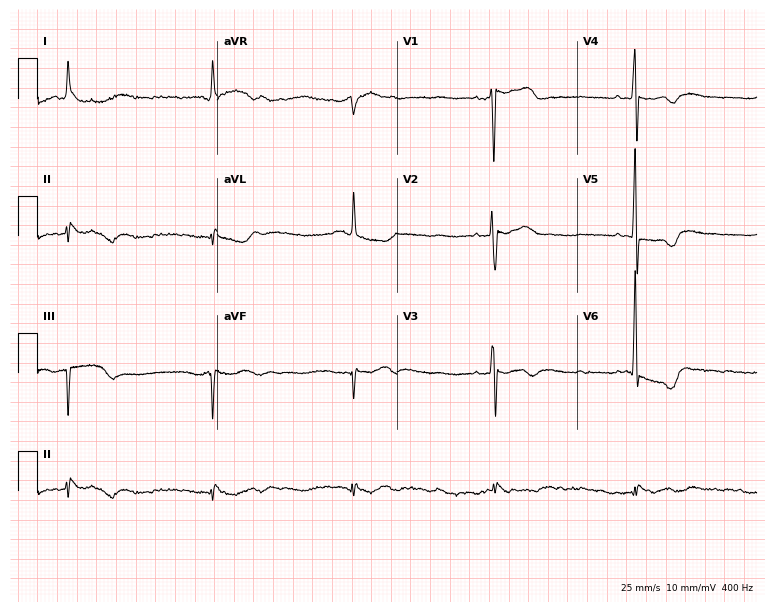
Resting 12-lead electrocardiogram. Patient: a 75-year-old male. None of these six findings is recorded: first-degree AV block, right bundle branch block, left bundle branch block, sinus bradycardia, atrial fibrillation, sinus tachycardia.